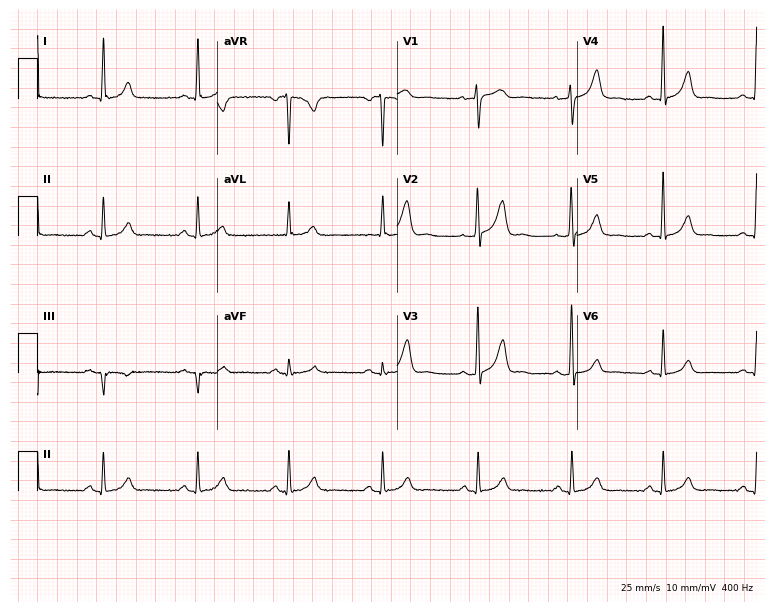
12-lead ECG from a 56-year-old female (7.3-second recording at 400 Hz). Recorded interpretation: within normal limits.